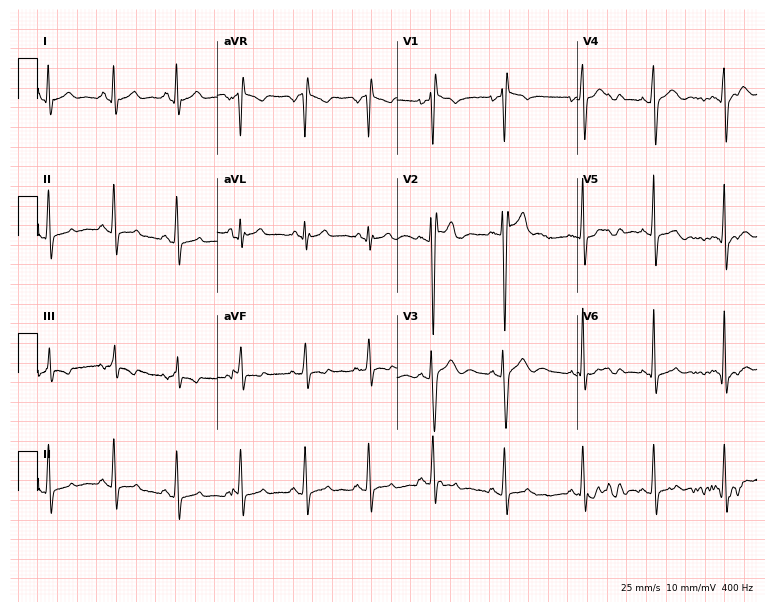
Standard 12-lead ECG recorded from a male patient, 23 years old (7.3-second recording at 400 Hz). None of these six findings is recorded: first-degree AV block, right bundle branch block (RBBB), left bundle branch block (LBBB), sinus bradycardia, atrial fibrillation (AF), sinus tachycardia. Other findings, if any, are not listed.